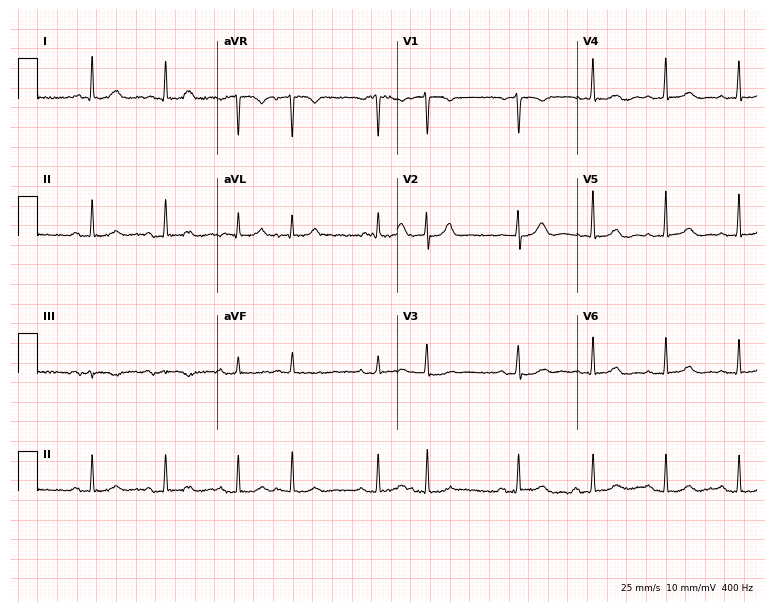
ECG (7.3-second recording at 400 Hz) — a female patient, 71 years old. Screened for six findings — first-degree AV block, right bundle branch block, left bundle branch block, sinus bradycardia, atrial fibrillation, sinus tachycardia — none is recorded.